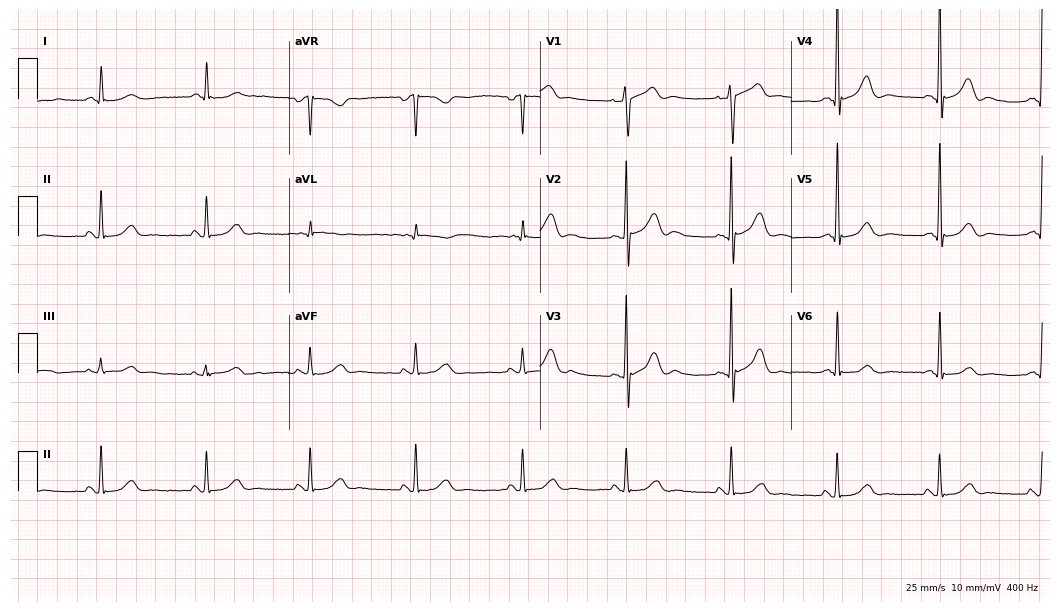
Resting 12-lead electrocardiogram. Patient: an 80-year-old male. Read as a normal ECG.